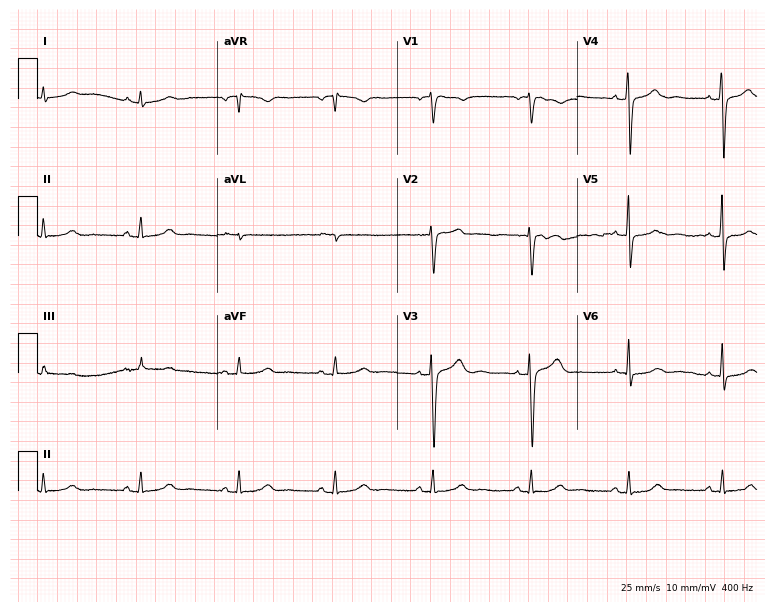
ECG — a 53-year-old female. Labelled as a normal ECG.